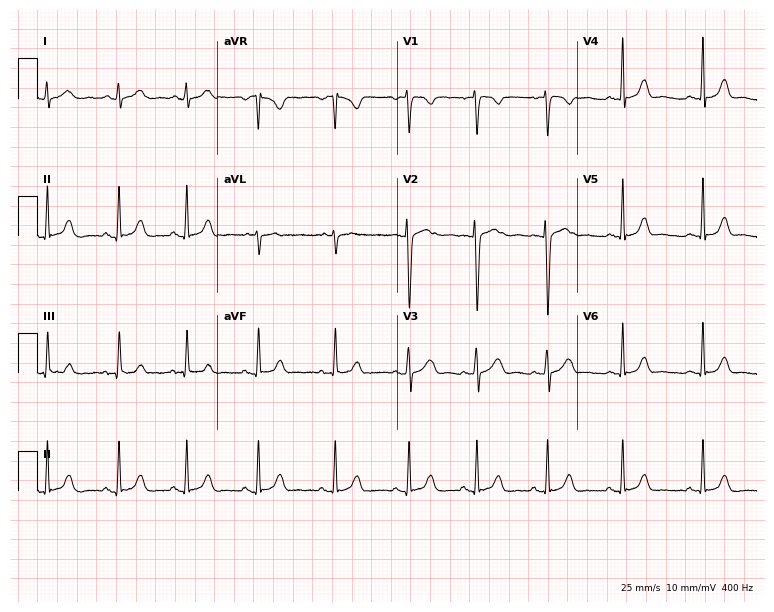
ECG — a female patient, 41 years old. Labelled as a normal ECG.